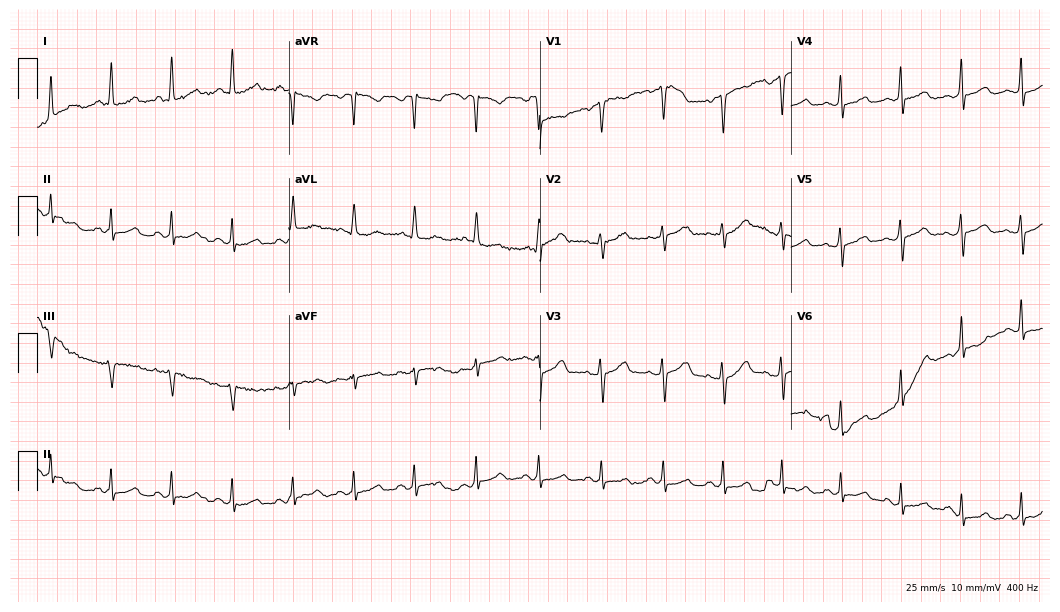
Resting 12-lead electrocardiogram. Patient: a 50-year-old woman. Read as a normal ECG.